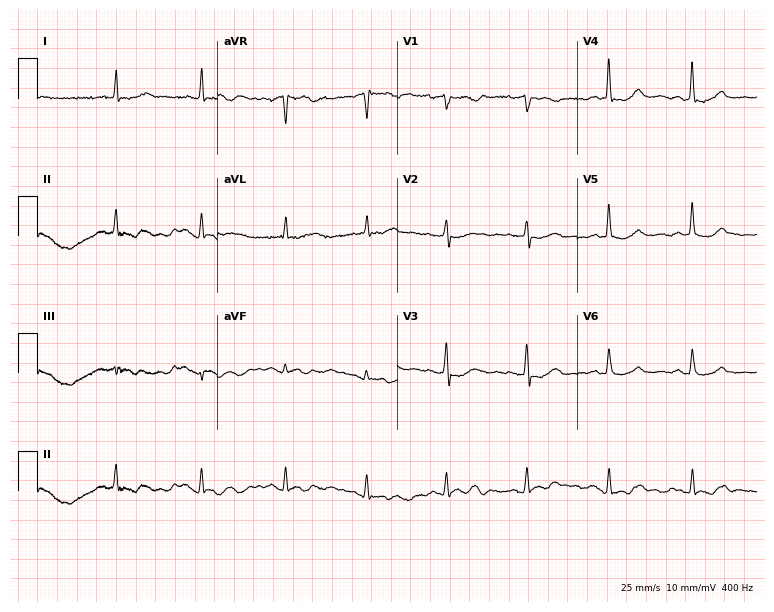
Resting 12-lead electrocardiogram (7.3-second recording at 400 Hz). Patient: a female, 61 years old. Read as a normal ECG.